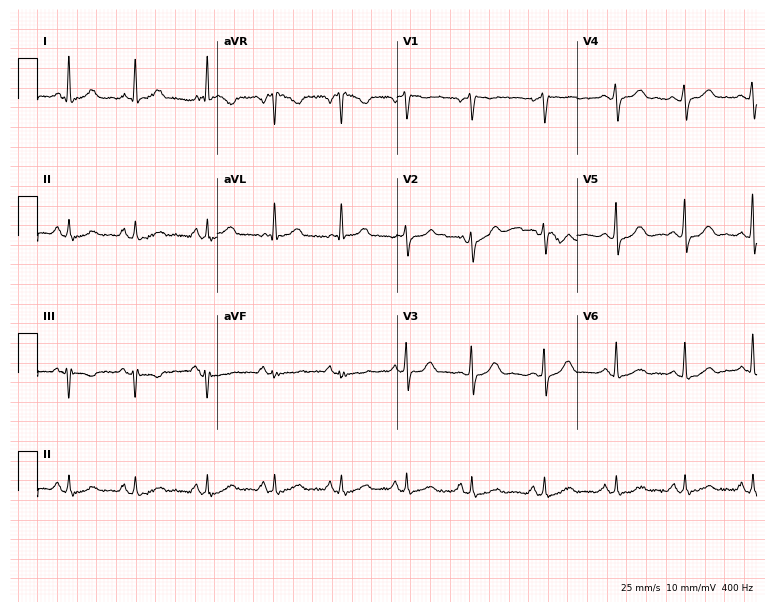
ECG — a 62-year-old female. Labelled as a normal ECG.